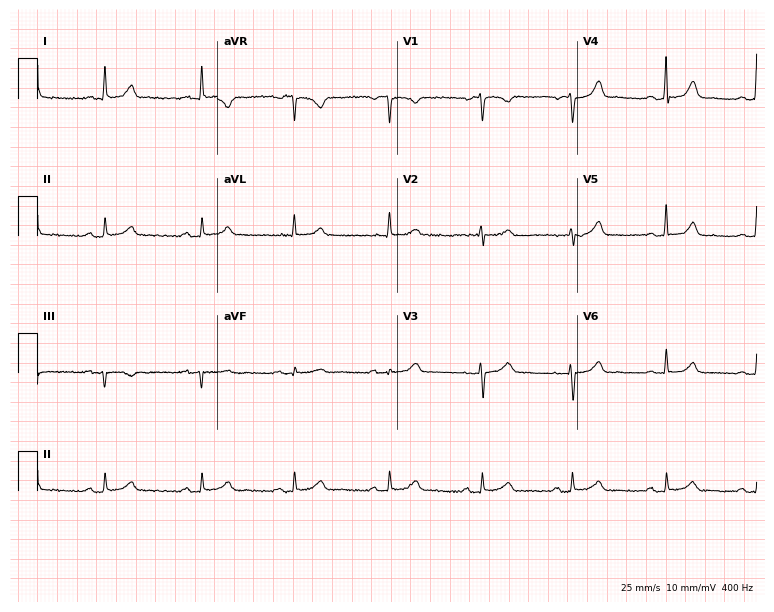
Electrocardiogram (7.3-second recording at 400 Hz), a 60-year-old woman. Overall reading on record: normal ECG.